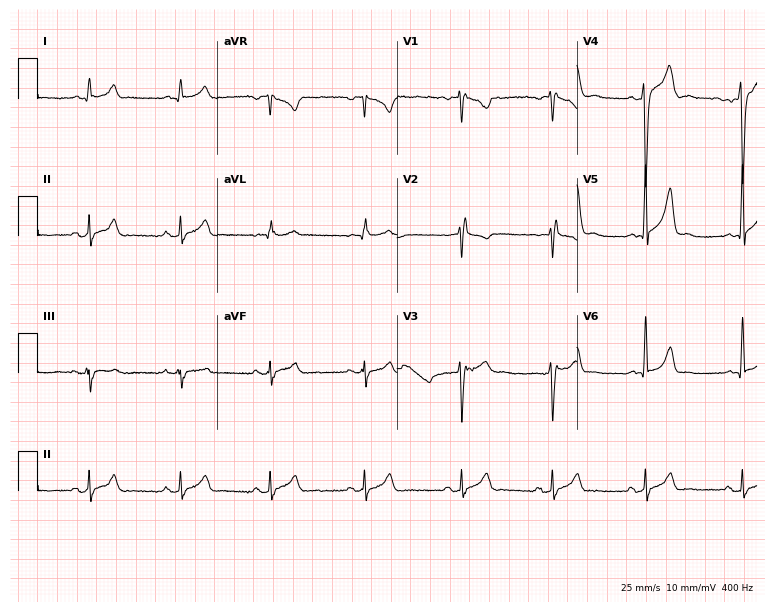
Electrocardiogram (7.3-second recording at 400 Hz), a man, 33 years old. Of the six screened findings (first-degree AV block, right bundle branch block (RBBB), left bundle branch block (LBBB), sinus bradycardia, atrial fibrillation (AF), sinus tachycardia), none is recorded.